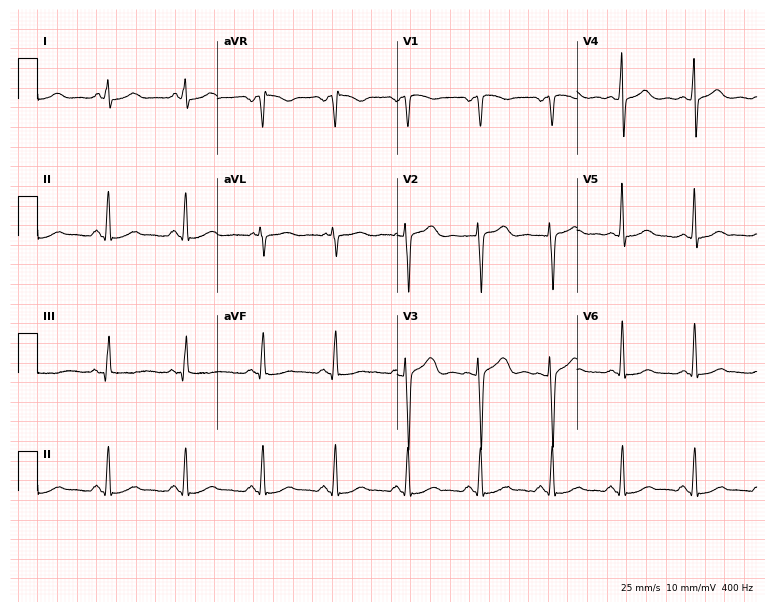
Standard 12-lead ECG recorded from a female patient, 40 years old. Read as a normal ECG.